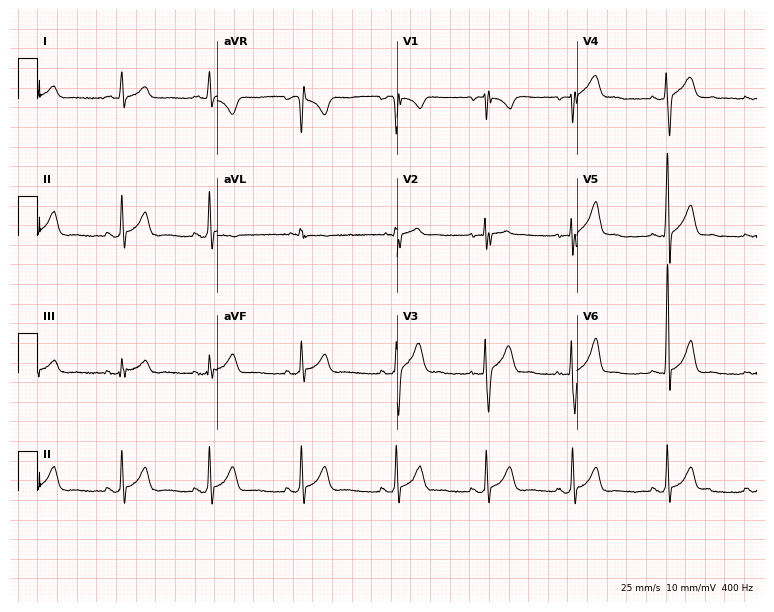
Standard 12-lead ECG recorded from a male patient, 22 years old (7.3-second recording at 400 Hz). Read as a normal ECG.